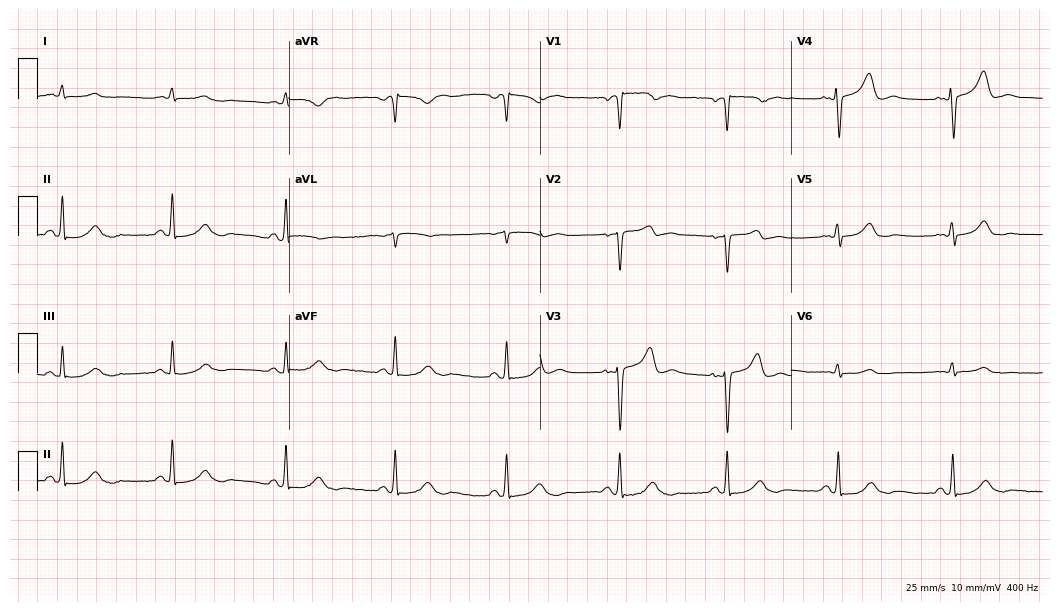
Resting 12-lead electrocardiogram (10.2-second recording at 400 Hz). Patient: a 56-year-old female. None of these six findings is recorded: first-degree AV block, right bundle branch block, left bundle branch block, sinus bradycardia, atrial fibrillation, sinus tachycardia. Only these six findings were labelled.